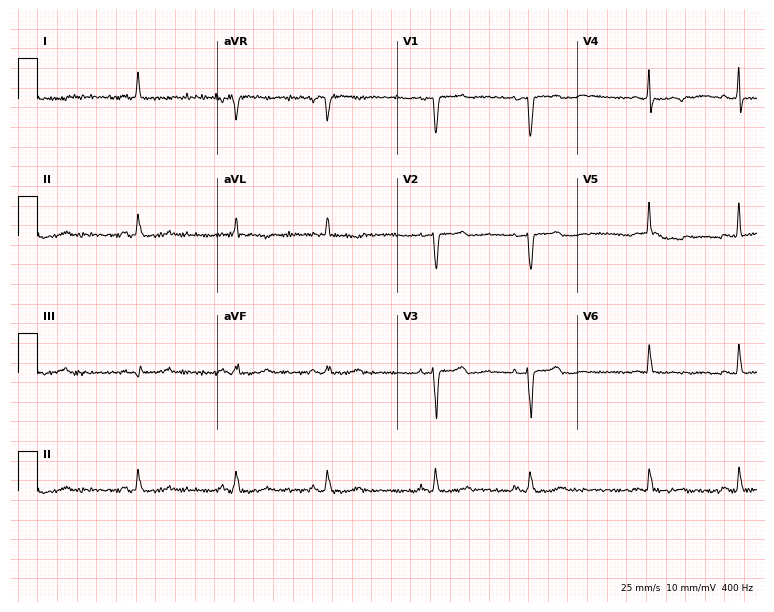
ECG — a 58-year-old woman. Screened for six findings — first-degree AV block, right bundle branch block (RBBB), left bundle branch block (LBBB), sinus bradycardia, atrial fibrillation (AF), sinus tachycardia — none is recorded. Findings outside these six are not listed.